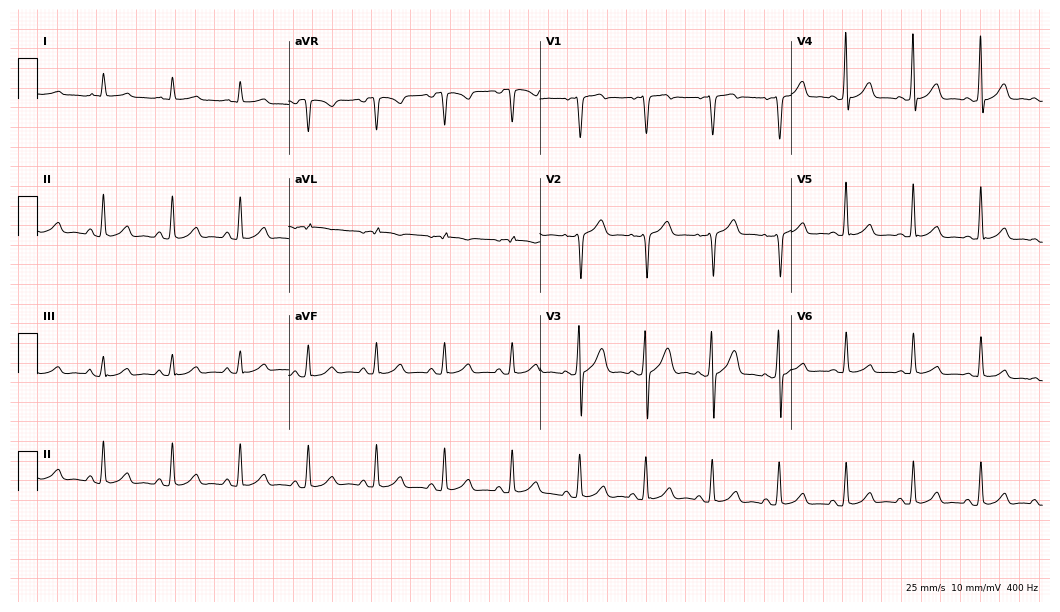
Electrocardiogram (10.2-second recording at 400 Hz), a 39-year-old man. Overall reading on record: normal ECG.